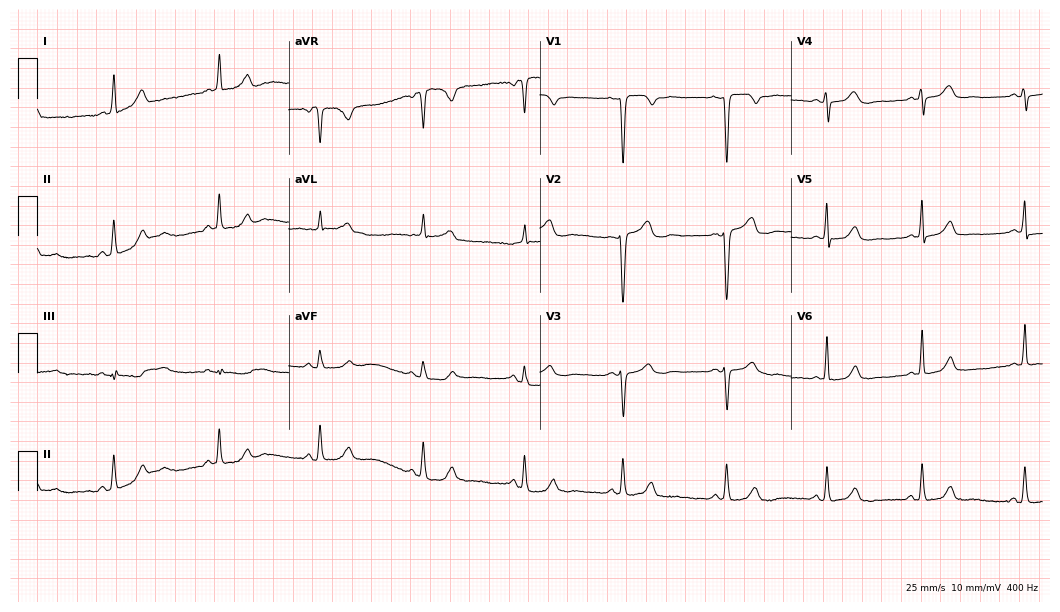
Resting 12-lead electrocardiogram. Patient: a female, 43 years old. None of these six findings is recorded: first-degree AV block, right bundle branch block, left bundle branch block, sinus bradycardia, atrial fibrillation, sinus tachycardia. Findings outside these six are not listed.